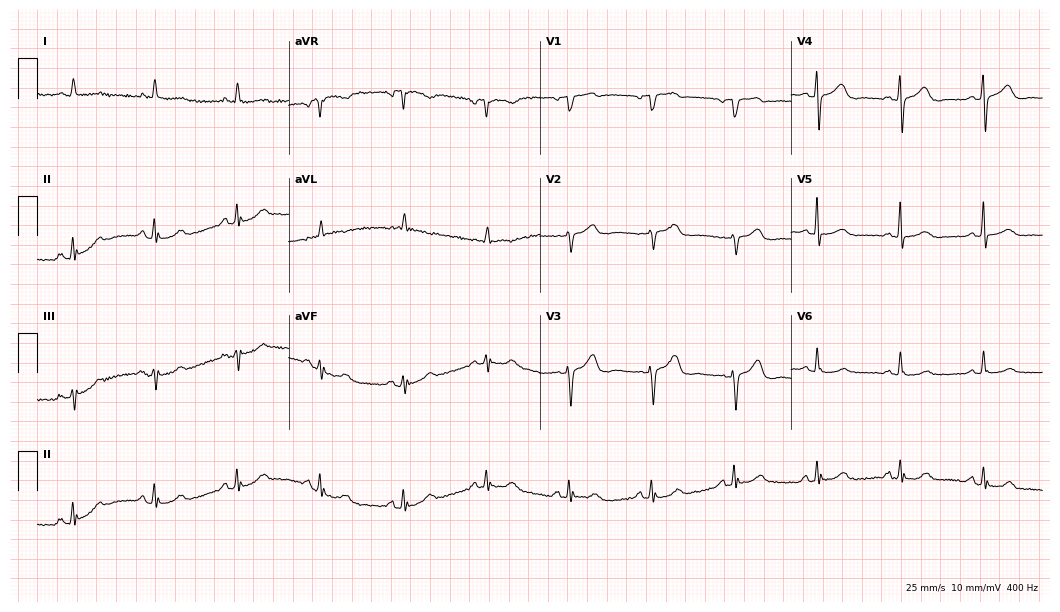
Resting 12-lead electrocardiogram (10.2-second recording at 400 Hz). Patient: a woman, 77 years old. Read as a normal ECG.